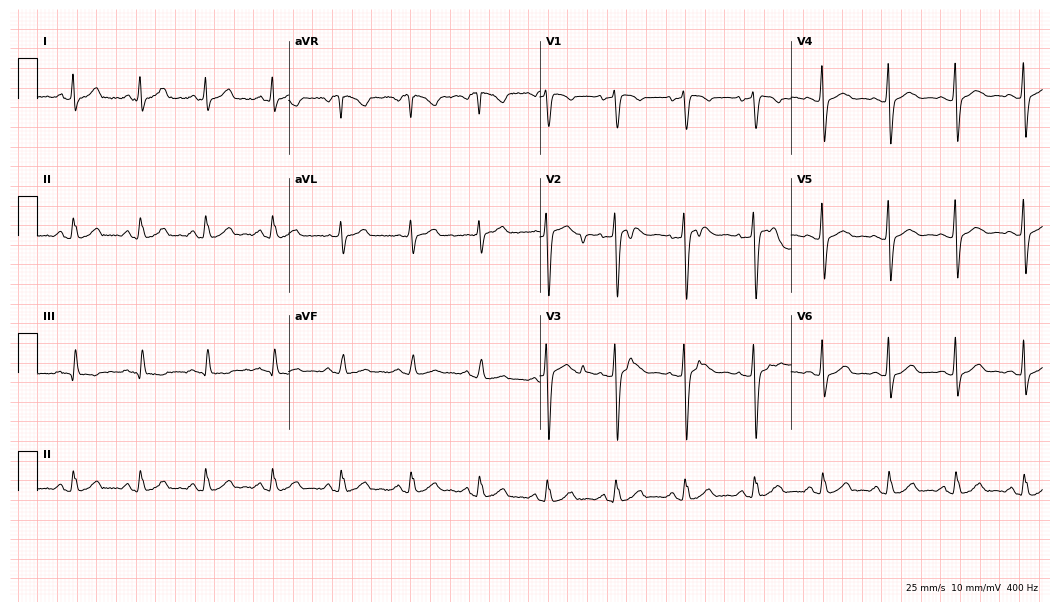
Standard 12-lead ECG recorded from a 34-year-old female (10.2-second recording at 400 Hz). Read as a normal ECG.